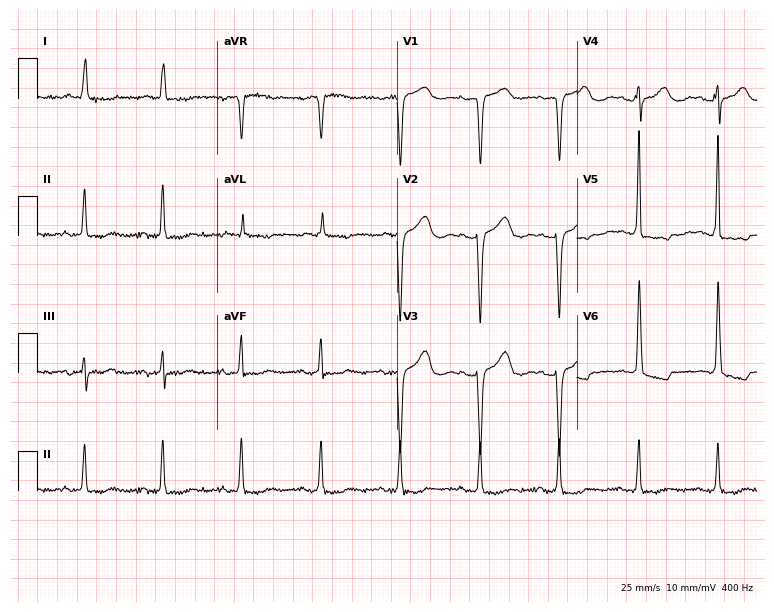
12-lead ECG from a woman, 70 years old. Screened for six findings — first-degree AV block, right bundle branch block, left bundle branch block, sinus bradycardia, atrial fibrillation, sinus tachycardia — none is recorded.